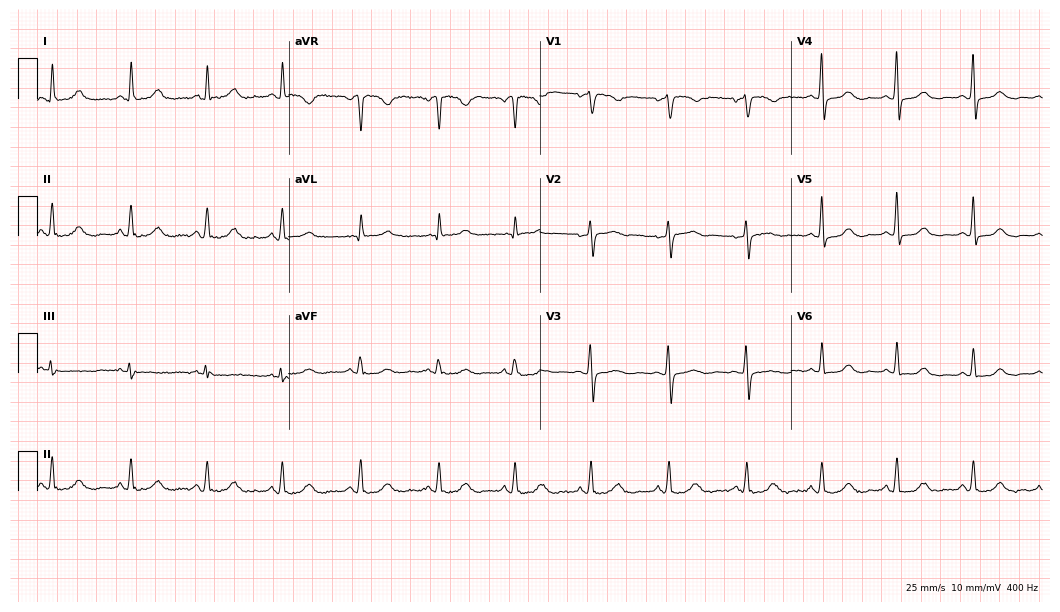
12-lead ECG from a 56-year-old female patient. No first-degree AV block, right bundle branch block, left bundle branch block, sinus bradycardia, atrial fibrillation or sinus tachycardia recorded for this tracing.